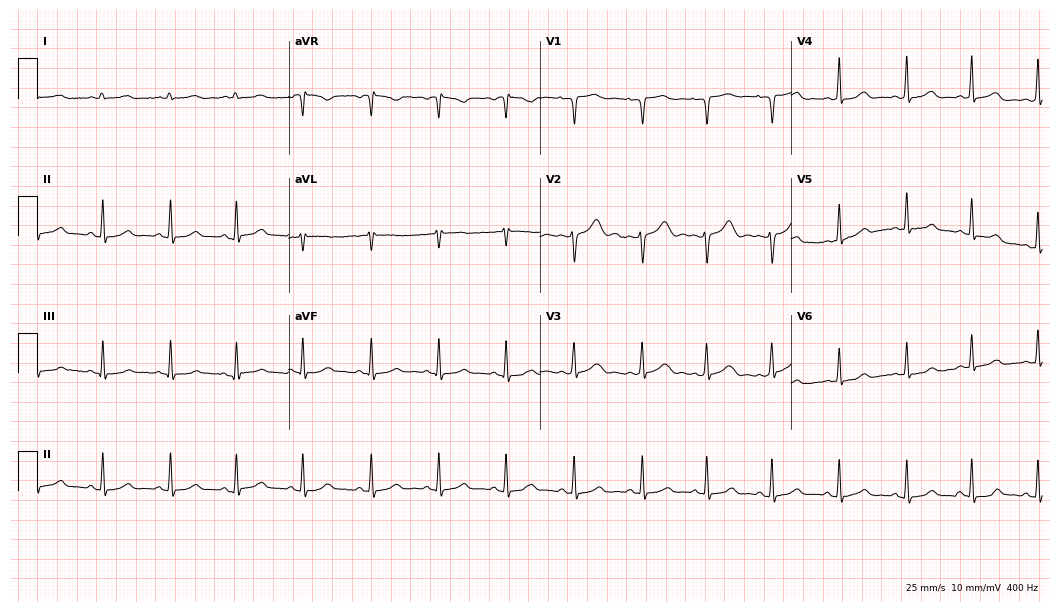
ECG (10.2-second recording at 400 Hz) — a female, 29 years old. Labelled as a normal ECG.